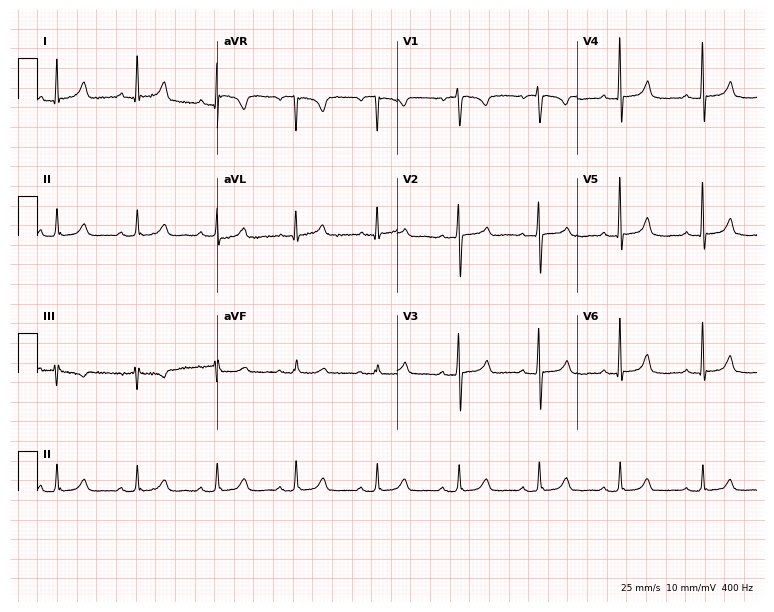
Resting 12-lead electrocardiogram (7.3-second recording at 400 Hz). Patient: a 57-year-old female. Read as a normal ECG.